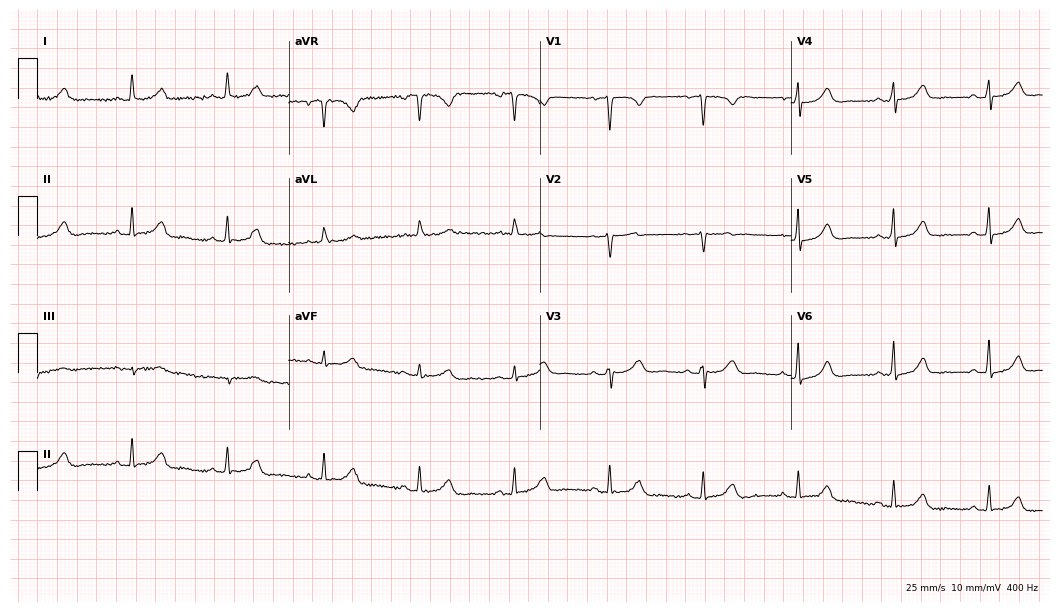
Resting 12-lead electrocardiogram. Patient: a 65-year-old female. Read as a normal ECG.